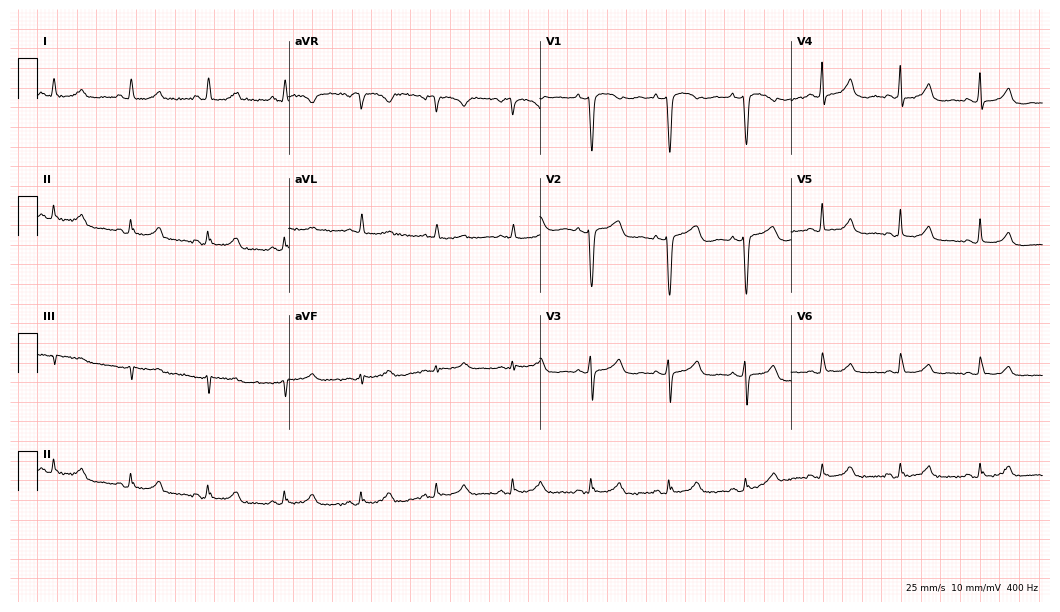
Resting 12-lead electrocardiogram. Patient: a 60-year-old woman. Read as a normal ECG.